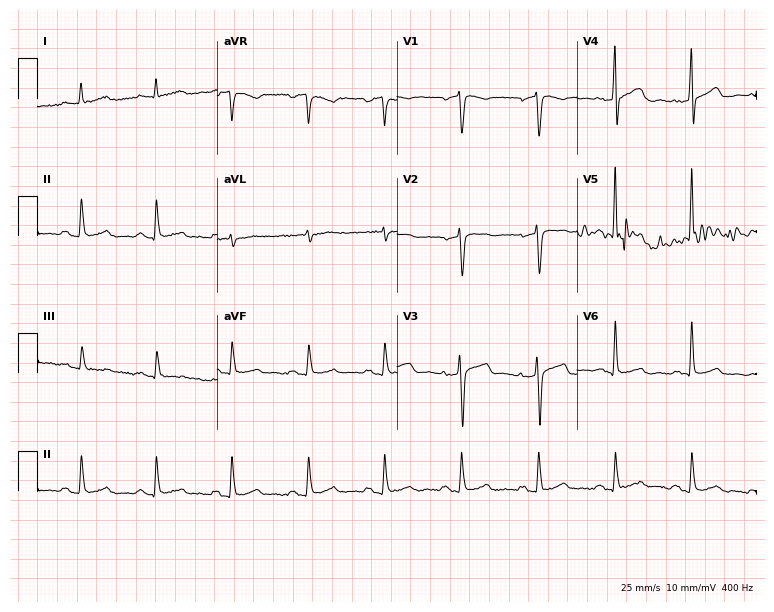
12-lead ECG (7.3-second recording at 400 Hz) from a male patient, 73 years old. Screened for six findings — first-degree AV block, right bundle branch block, left bundle branch block, sinus bradycardia, atrial fibrillation, sinus tachycardia — none is recorded.